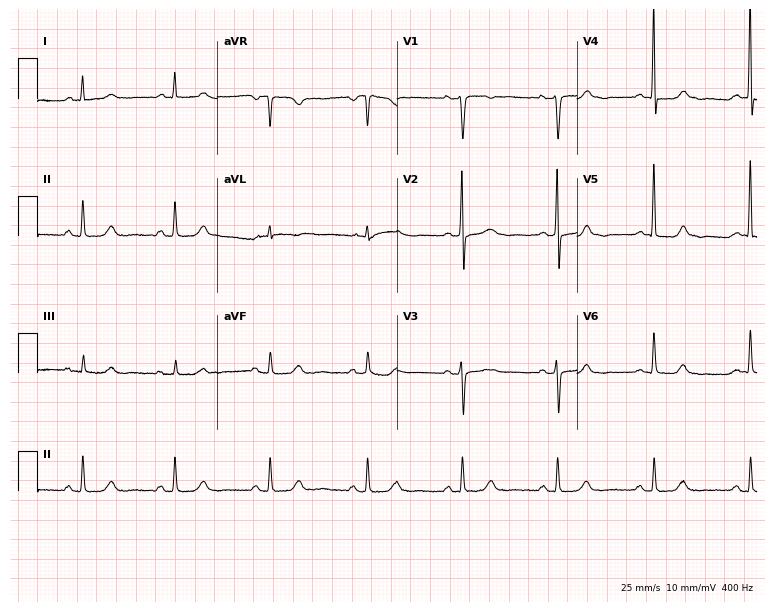
Standard 12-lead ECG recorded from a 77-year-old woman. None of these six findings is recorded: first-degree AV block, right bundle branch block (RBBB), left bundle branch block (LBBB), sinus bradycardia, atrial fibrillation (AF), sinus tachycardia. Only these six findings were labelled.